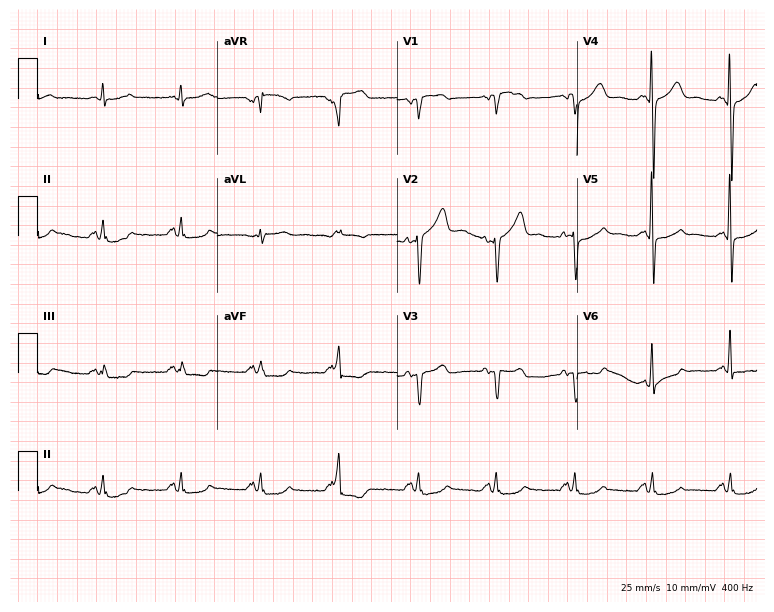
Resting 12-lead electrocardiogram. Patient: a male, 61 years old. Read as a normal ECG.